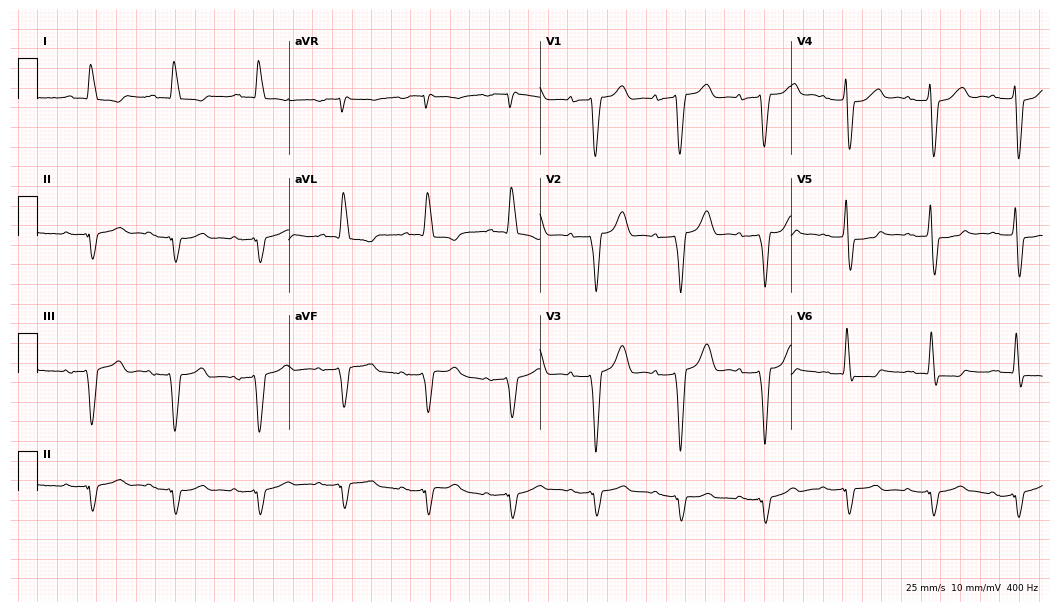
12-lead ECG from a 77-year-old woman. No first-degree AV block, right bundle branch block (RBBB), left bundle branch block (LBBB), sinus bradycardia, atrial fibrillation (AF) or sinus tachycardia recorded for this tracing.